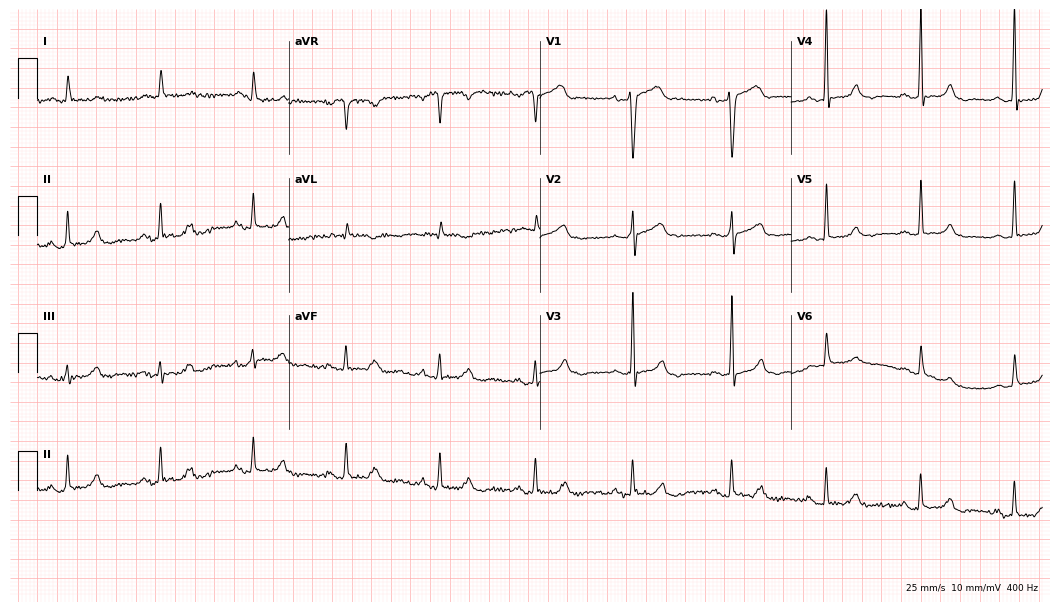
12-lead ECG (10.2-second recording at 400 Hz) from an 85-year-old female patient. Labelled as a normal ECG.